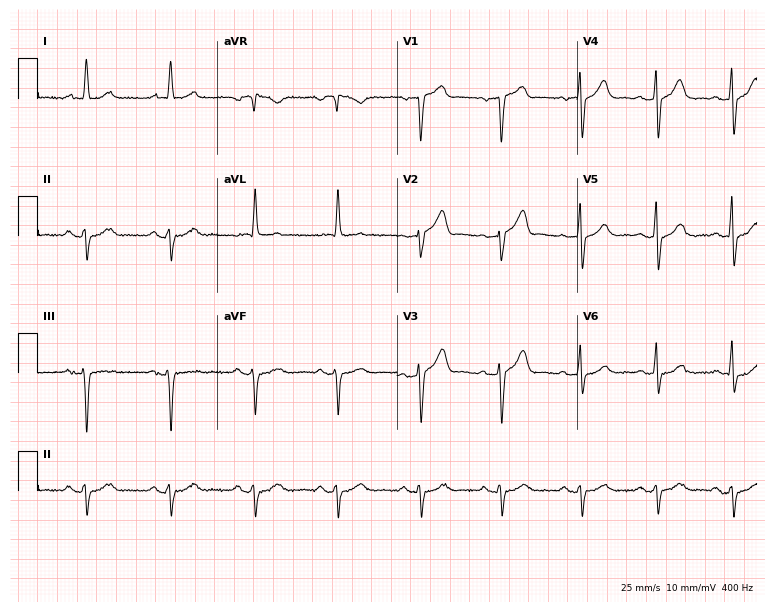
12-lead ECG from a 68-year-old male patient. Screened for six findings — first-degree AV block, right bundle branch block, left bundle branch block, sinus bradycardia, atrial fibrillation, sinus tachycardia — none is recorded. Other findings, if any, are not listed.